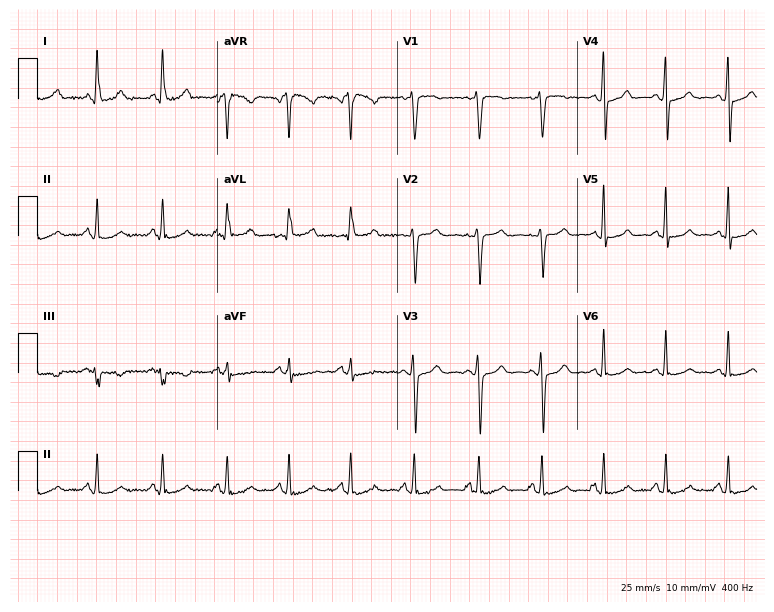
Electrocardiogram, a female patient, 28 years old. Of the six screened findings (first-degree AV block, right bundle branch block, left bundle branch block, sinus bradycardia, atrial fibrillation, sinus tachycardia), none is recorded. Only these six findings were labelled.